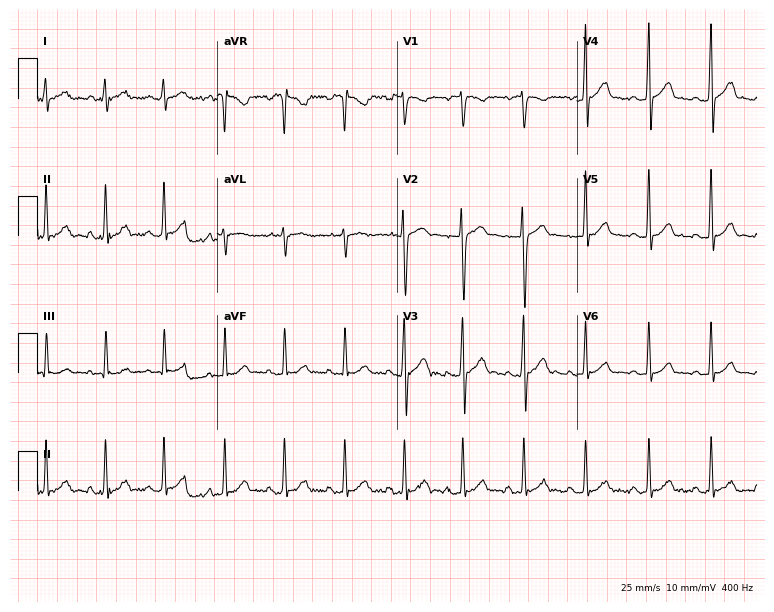
Resting 12-lead electrocardiogram. Patient: a 19-year-old male. Read as a normal ECG.